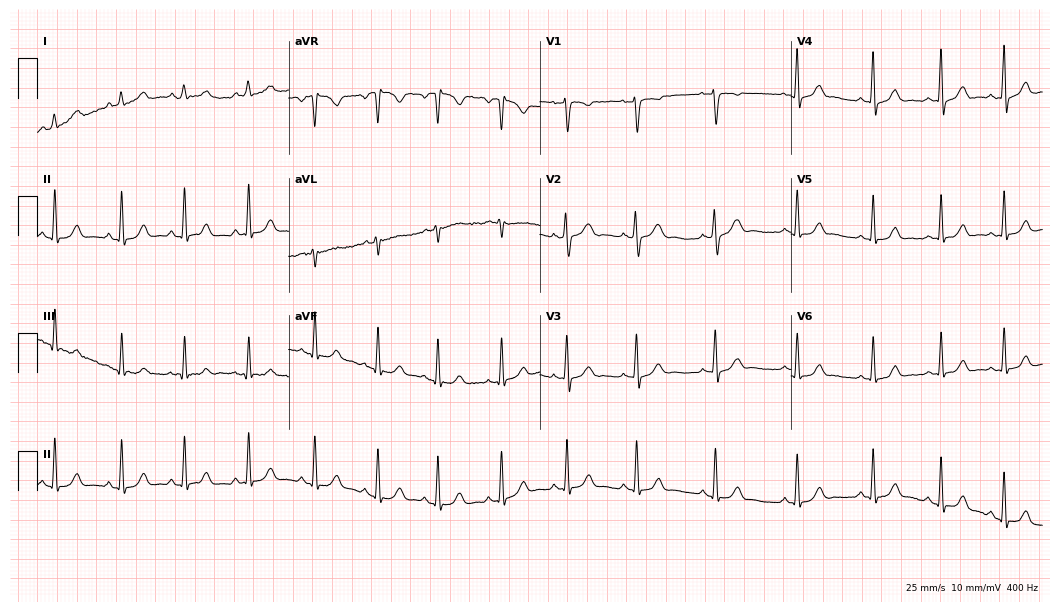
Standard 12-lead ECG recorded from a female patient, 29 years old. Read as a normal ECG.